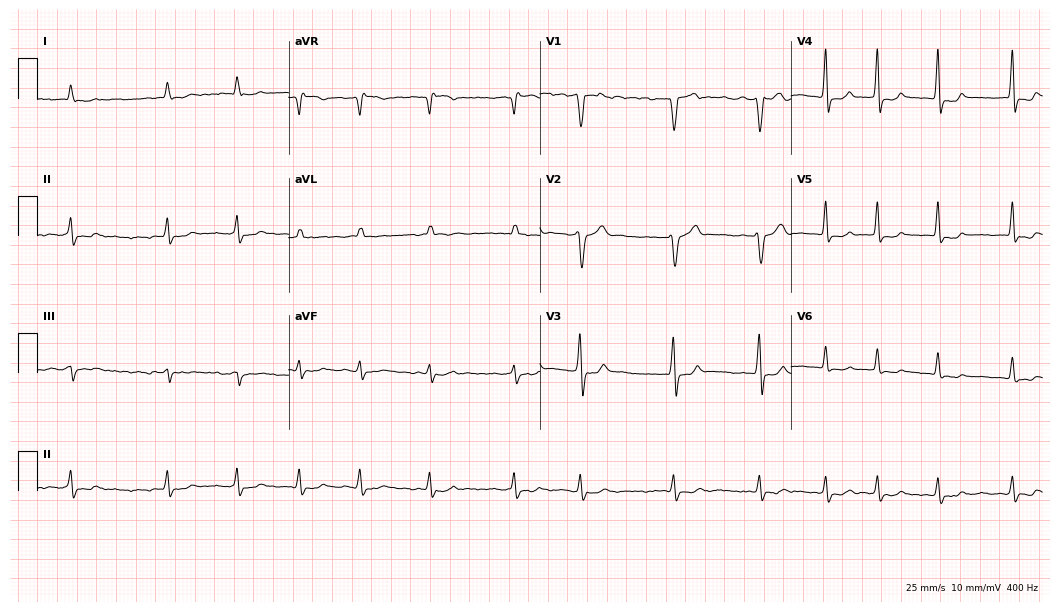
12-lead ECG from a male, 65 years old (10.2-second recording at 400 Hz). Shows atrial fibrillation.